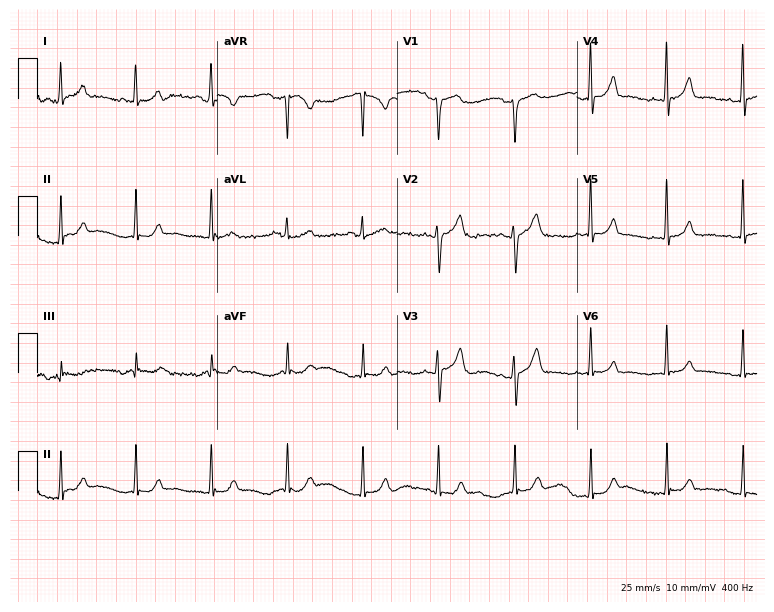
Electrocardiogram (7.3-second recording at 400 Hz), a 53-year-old female. Of the six screened findings (first-degree AV block, right bundle branch block (RBBB), left bundle branch block (LBBB), sinus bradycardia, atrial fibrillation (AF), sinus tachycardia), none is recorded.